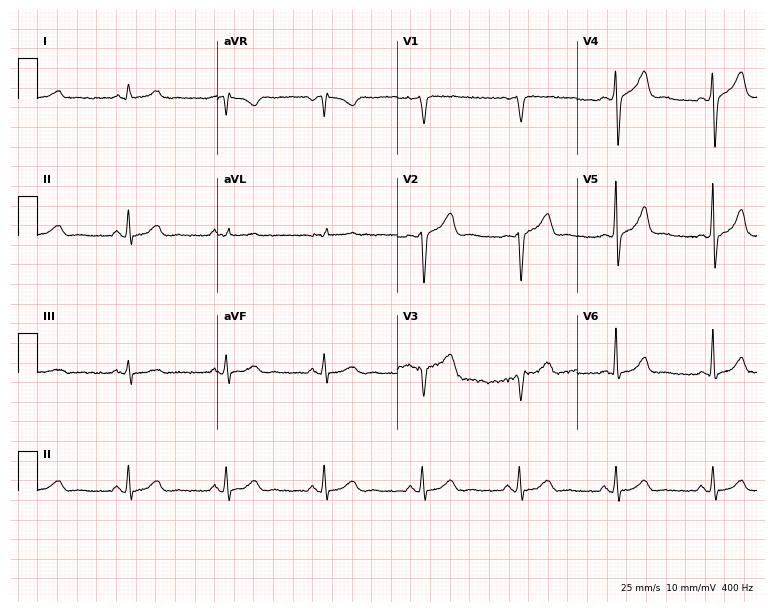
Electrocardiogram (7.3-second recording at 400 Hz), a man, 61 years old. Overall reading on record: normal ECG.